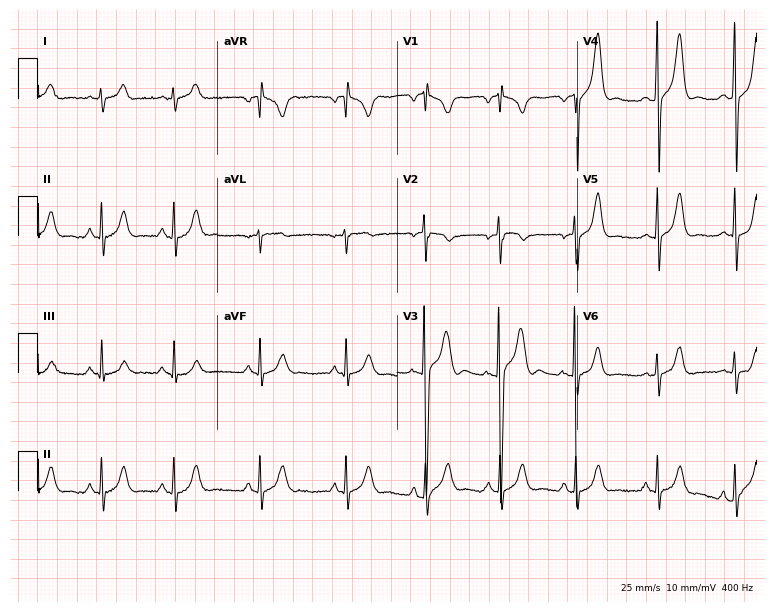
Electrocardiogram, a 17-year-old female. Of the six screened findings (first-degree AV block, right bundle branch block, left bundle branch block, sinus bradycardia, atrial fibrillation, sinus tachycardia), none is recorded. Other findings, if any, are not listed.